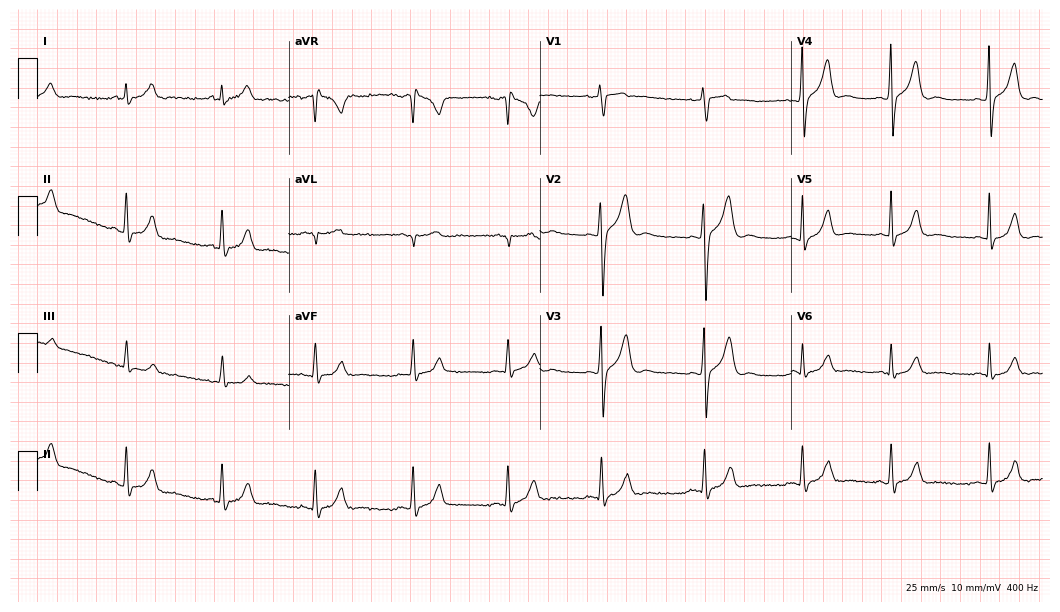
ECG — a 20-year-old male patient. Labelled as a normal ECG.